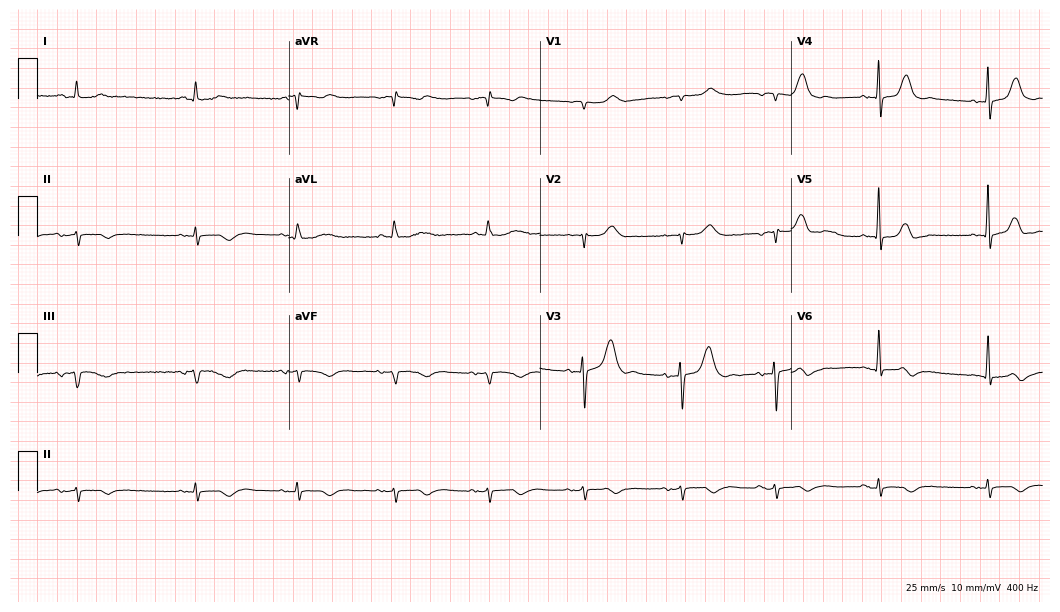
ECG (10.2-second recording at 400 Hz) — an 83-year-old female. Screened for six findings — first-degree AV block, right bundle branch block, left bundle branch block, sinus bradycardia, atrial fibrillation, sinus tachycardia — none is recorded.